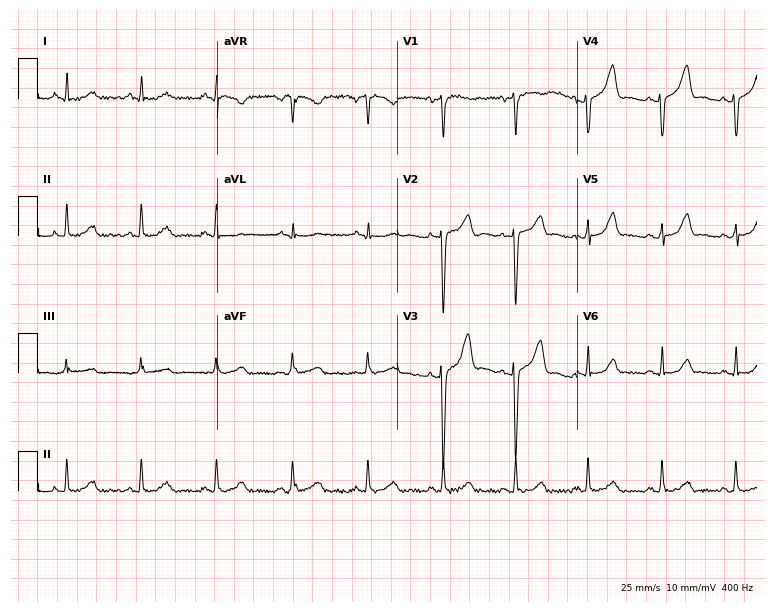
ECG (7.3-second recording at 400 Hz) — a 41-year-old male patient. Labelled as a normal ECG.